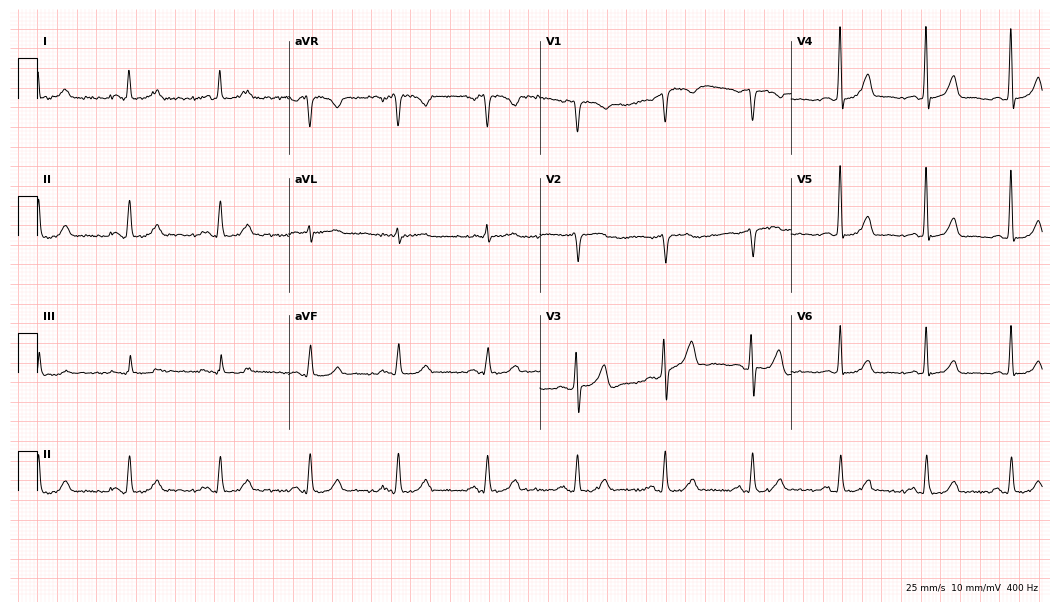
Electrocardiogram, a male patient, 55 years old. Overall reading on record: normal ECG.